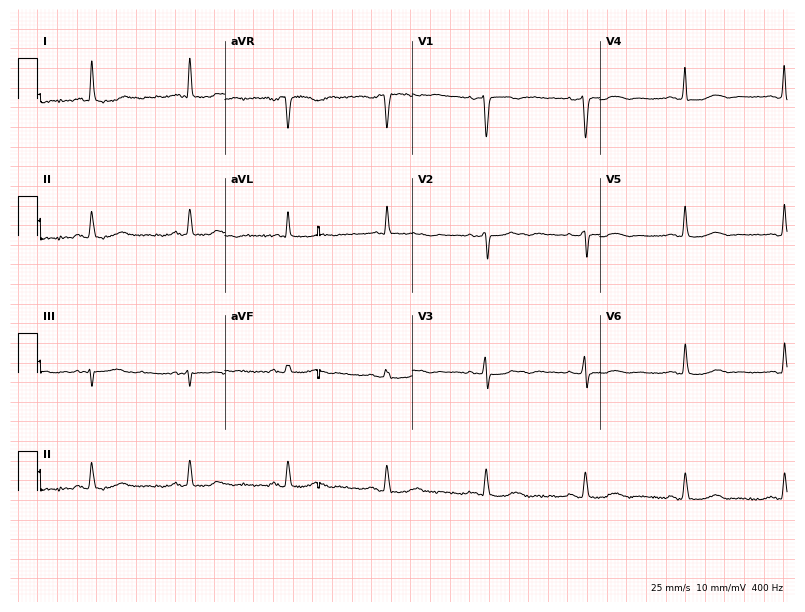
ECG (7.6-second recording at 400 Hz) — a 77-year-old female. Labelled as a normal ECG.